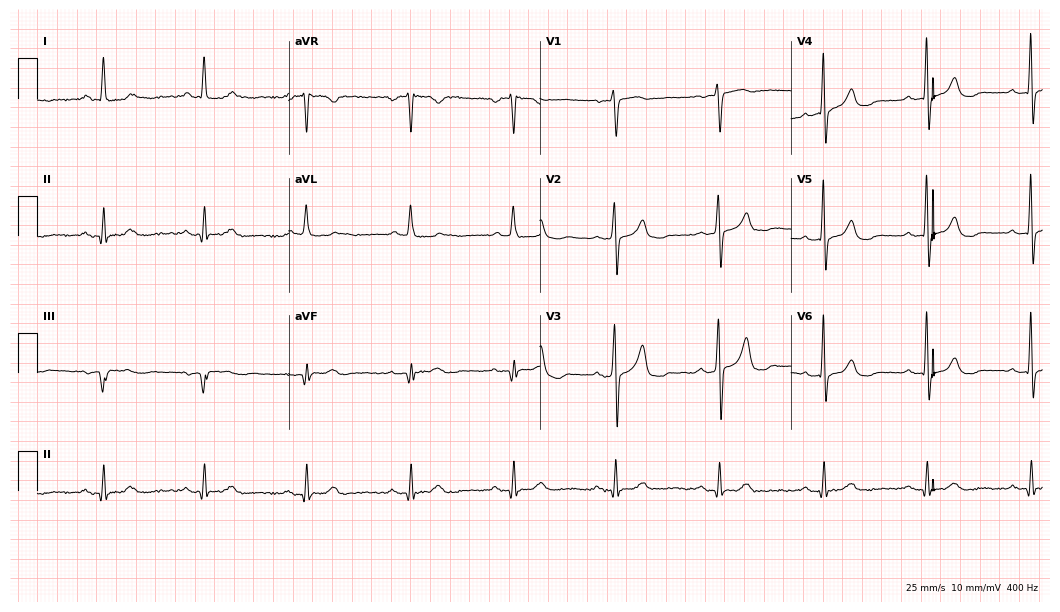
Resting 12-lead electrocardiogram. Patient: a male, 72 years old. None of these six findings is recorded: first-degree AV block, right bundle branch block, left bundle branch block, sinus bradycardia, atrial fibrillation, sinus tachycardia. Only these six findings were labelled.